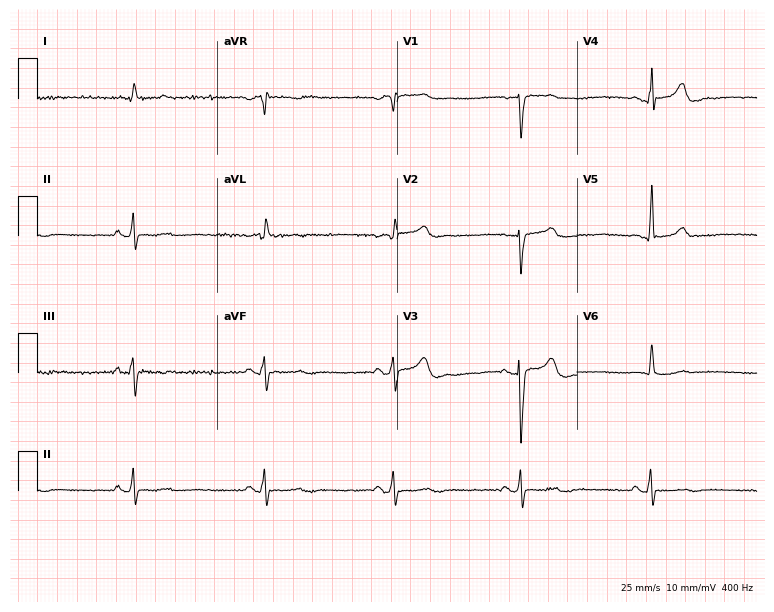
Electrocardiogram, a man, 72 years old. Interpretation includes sinus bradycardia (a sinus rate of 50 beats per minute or less).